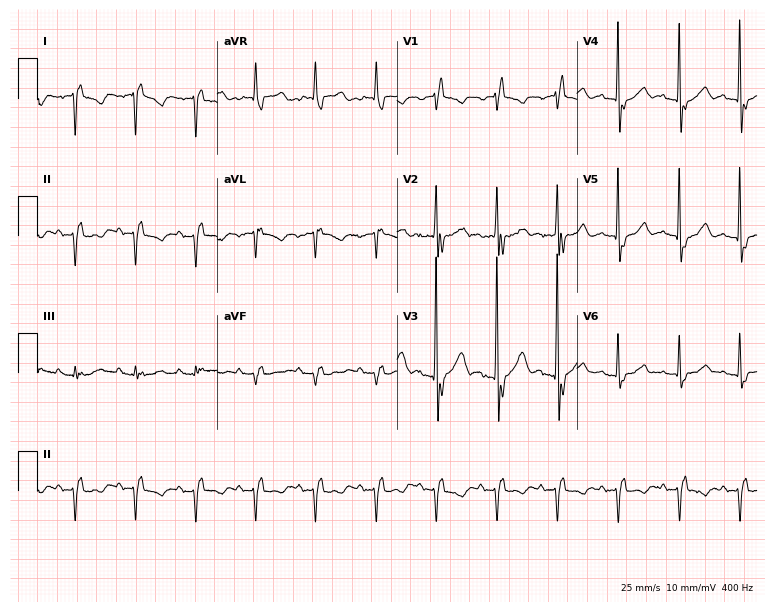
12-lead ECG from a woman, 71 years old. Findings include right bundle branch block.